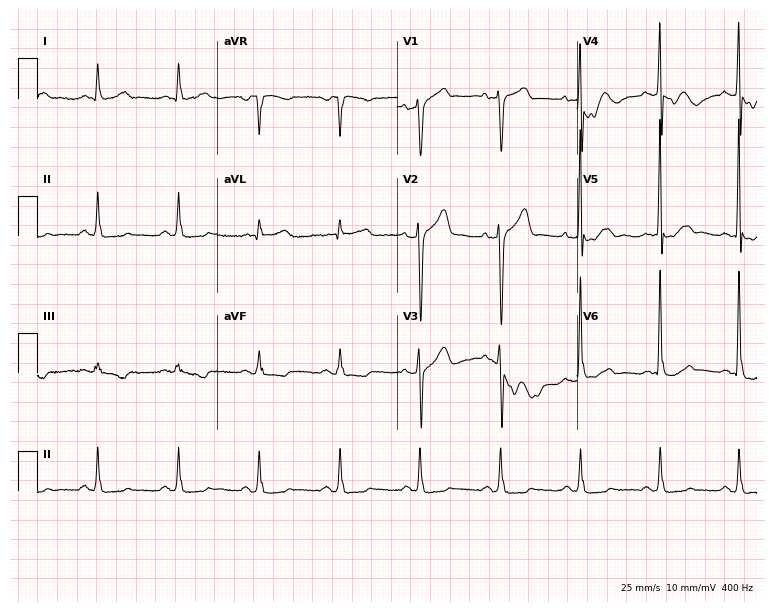
12-lead ECG (7.3-second recording at 400 Hz) from a 55-year-old male patient. Screened for six findings — first-degree AV block, right bundle branch block (RBBB), left bundle branch block (LBBB), sinus bradycardia, atrial fibrillation (AF), sinus tachycardia — none is recorded.